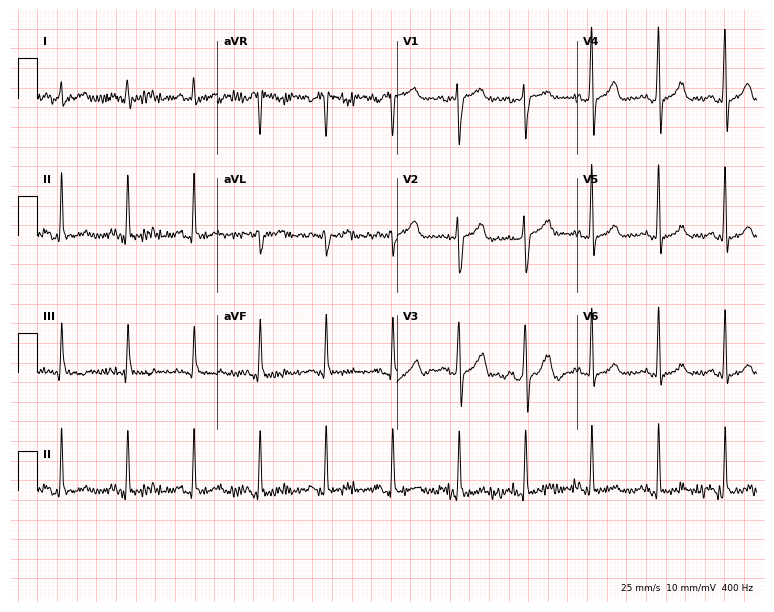
ECG (7.3-second recording at 400 Hz) — a male patient, 62 years old. Screened for six findings — first-degree AV block, right bundle branch block (RBBB), left bundle branch block (LBBB), sinus bradycardia, atrial fibrillation (AF), sinus tachycardia — none is recorded. Findings outside these six are not listed.